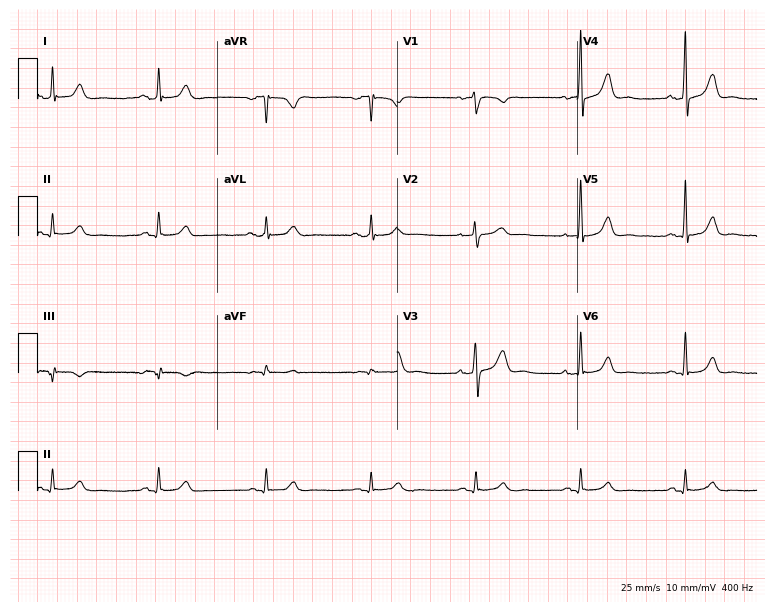
Electrocardiogram, a man, 60 years old. Overall reading on record: normal ECG.